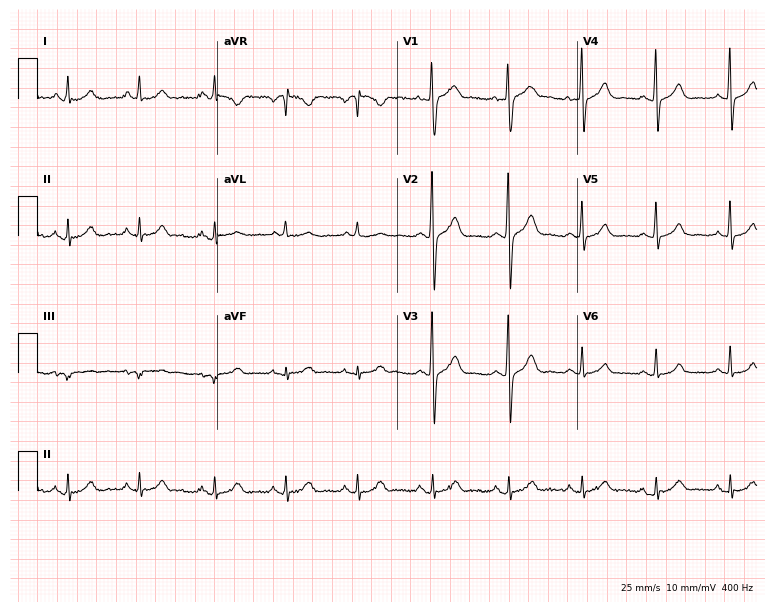
ECG — a 21-year-old male patient. Labelled as a normal ECG.